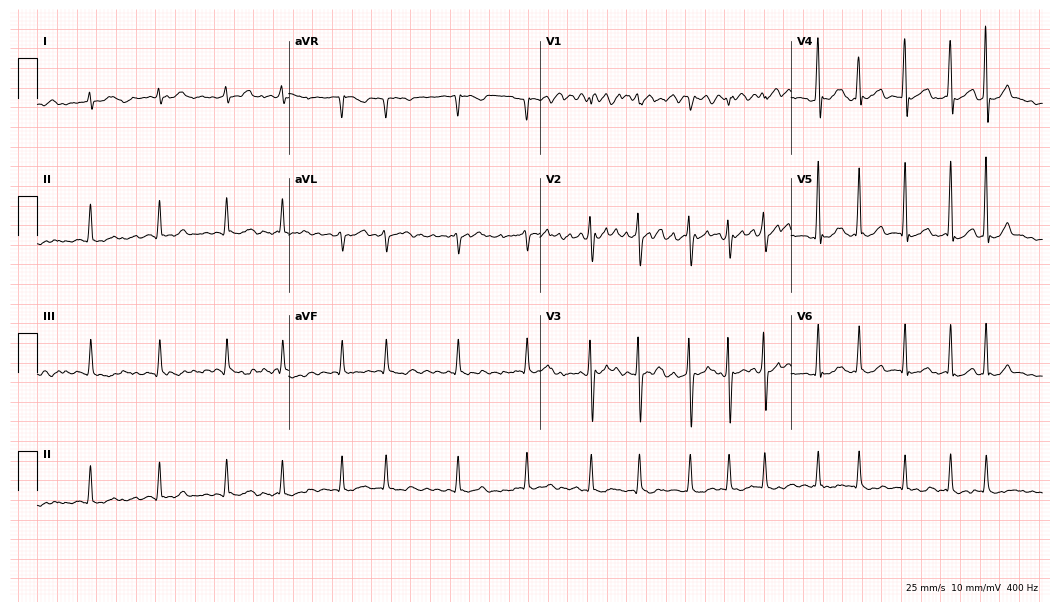
Resting 12-lead electrocardiogram (10.2-second recording at 400 Hz). Patient: a 50-year-old woman. The tracing shows atrial fibrillation.